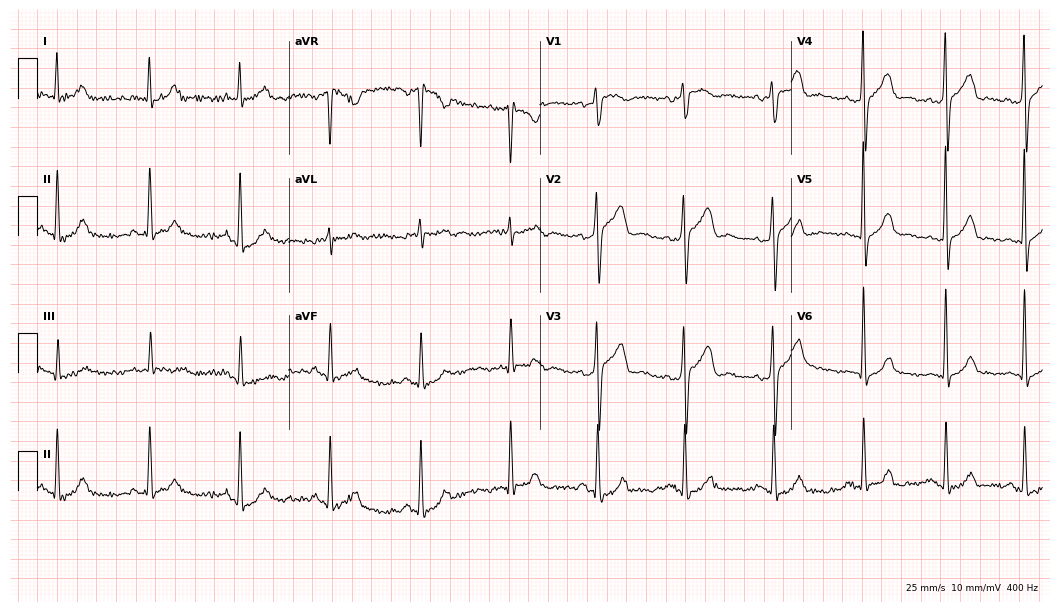
12-lead ECG from a 61-year-old male patient. Labelled as a normal ECG.